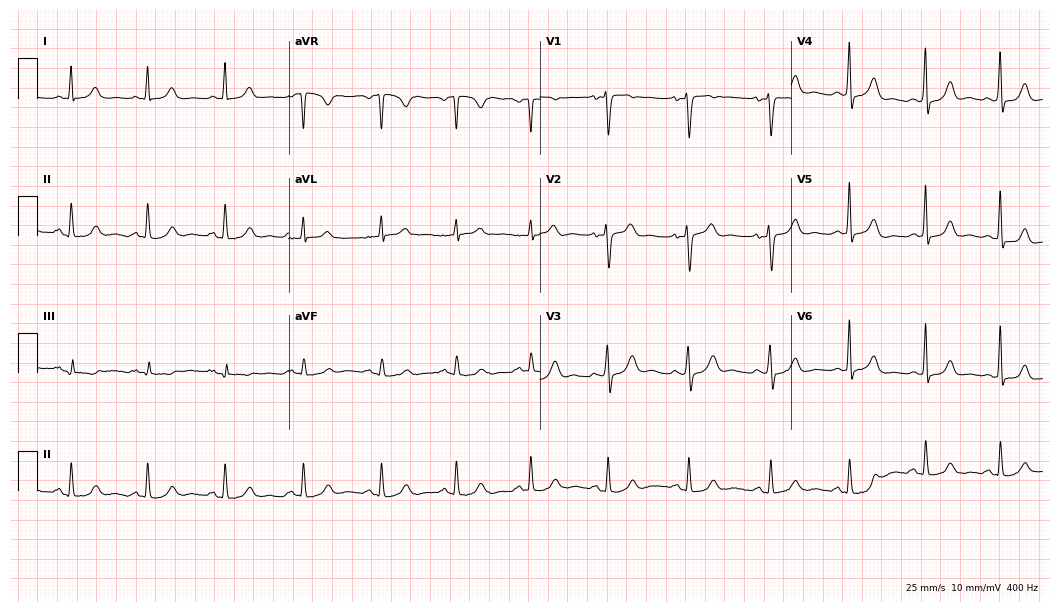
ECG (10.2-second recording at 400 Hz) — a female patient, 44 years old. Labelled as a normal ECG.